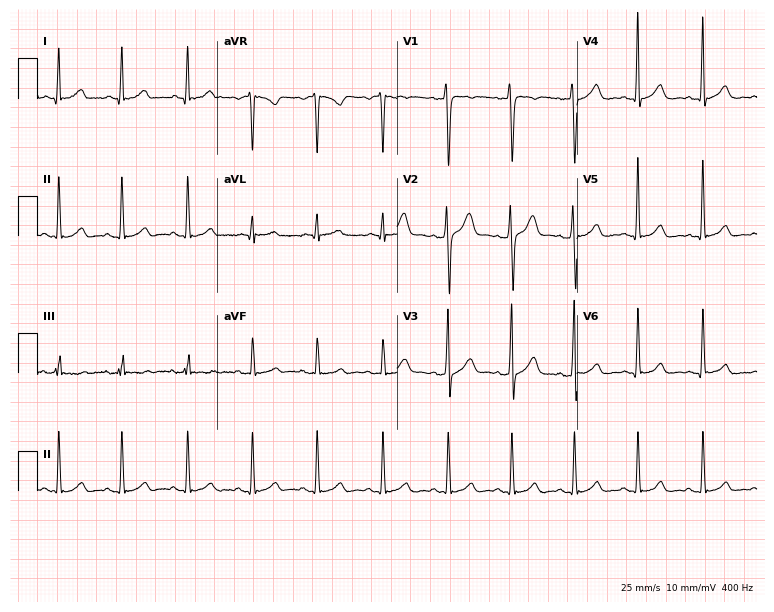
ECG (7.3-second recording at 400 Hz) — a male, 35 years old. Labelled as a normal ECG.